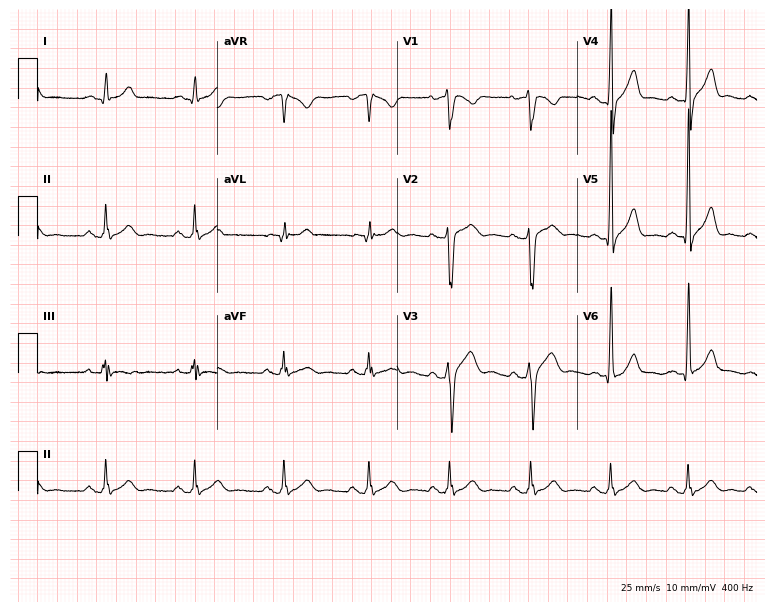
Standard 12-lead ECG recorded from a 37-year-old male patient (7.3-second recording at 400 Hz). Read as a normal ECG.